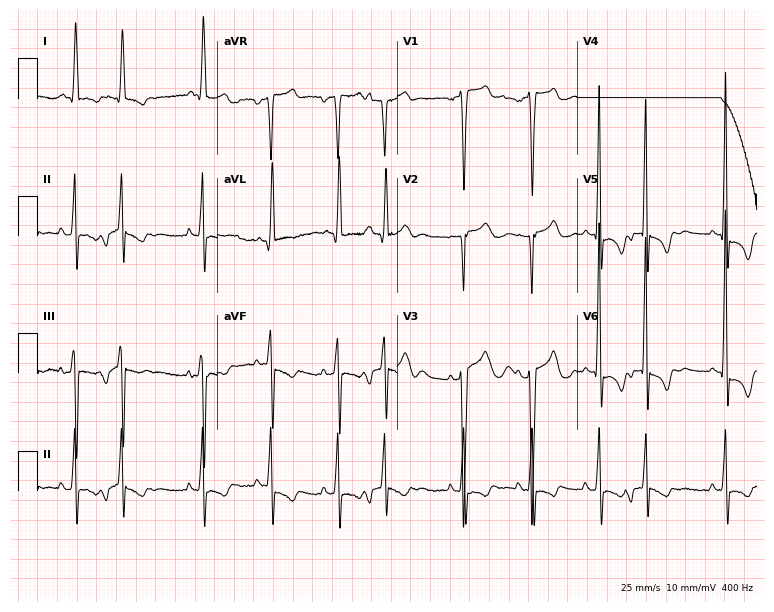
Resting 12-lead electrocardiogram. Patient: a 69-year-old female. None of these six findings is recorded: first-degree AV block, right bundle branch block (RBBB), left bundle branch block (LBBB), sinus bradycardia, atrial fibrillation (AF), sinus tachycardia.